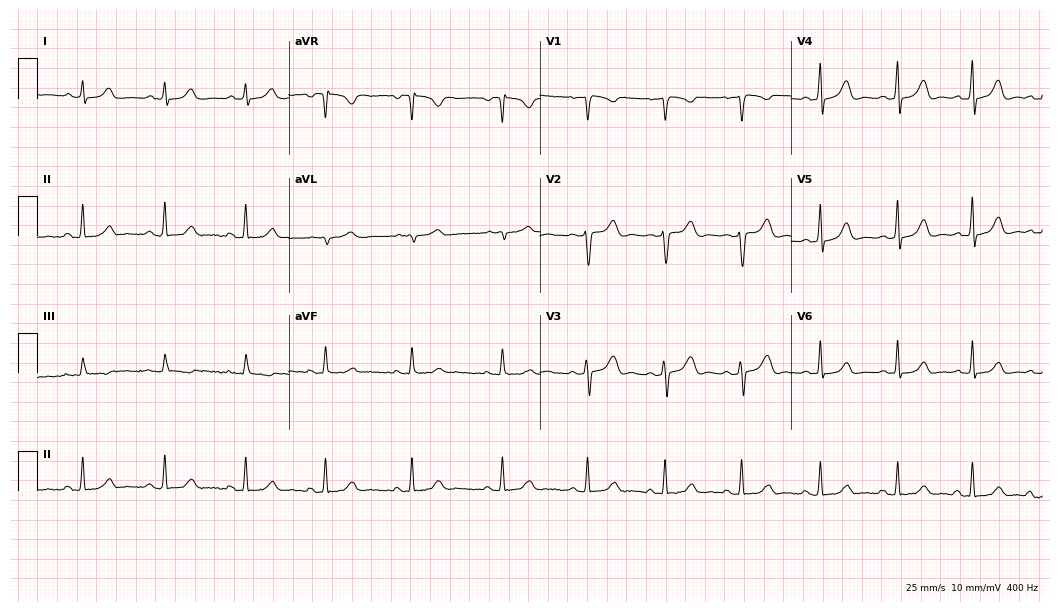
ECG (10.2-second recording at 400 Hz) — a 31-year-old female. Labelled as a normal ECG.